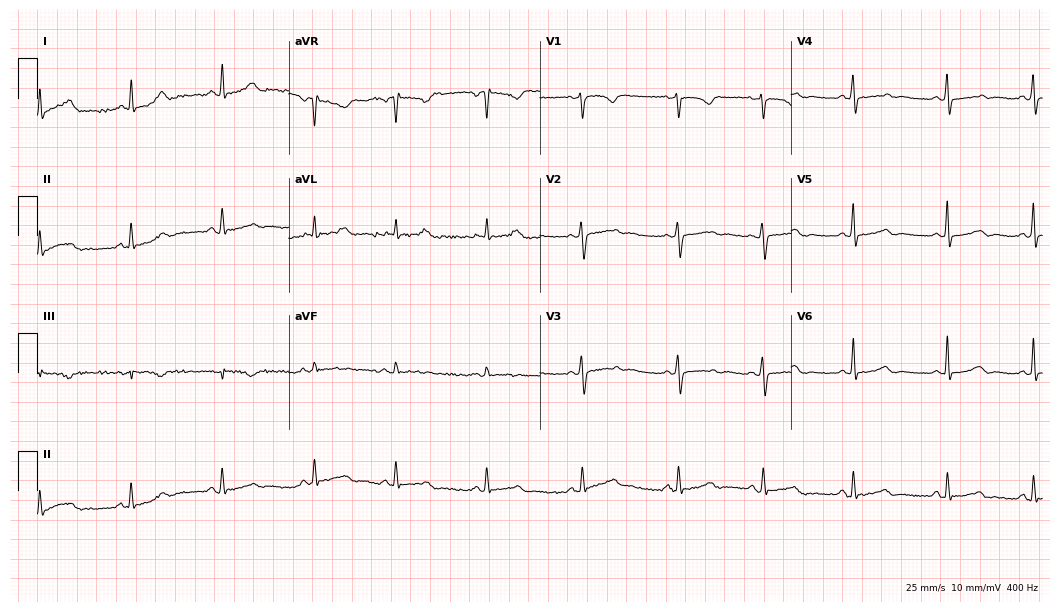
12-lead ECG from a female, 45 years old. Recorded interpretation: within normal limits.